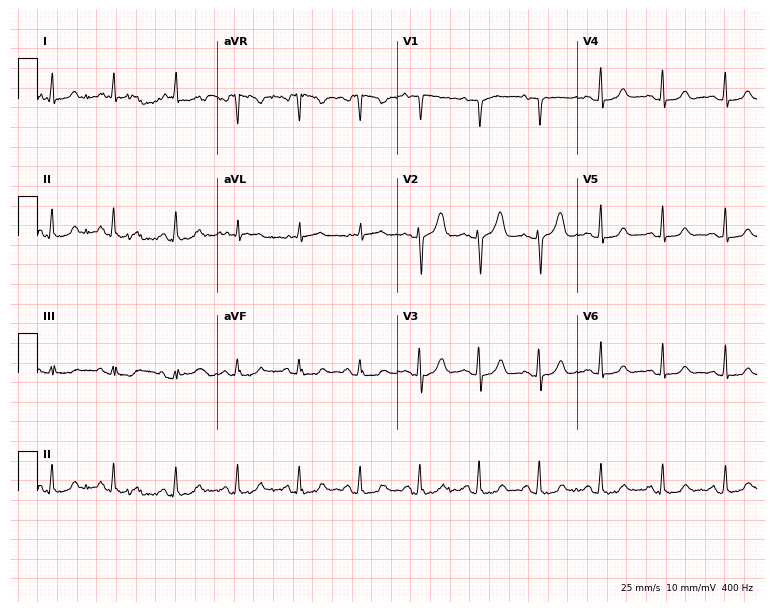
Electrocardiogram (7.3-second recording at 400 Hz), a woman, 26 years old. Overall reading on record: normal ECG.